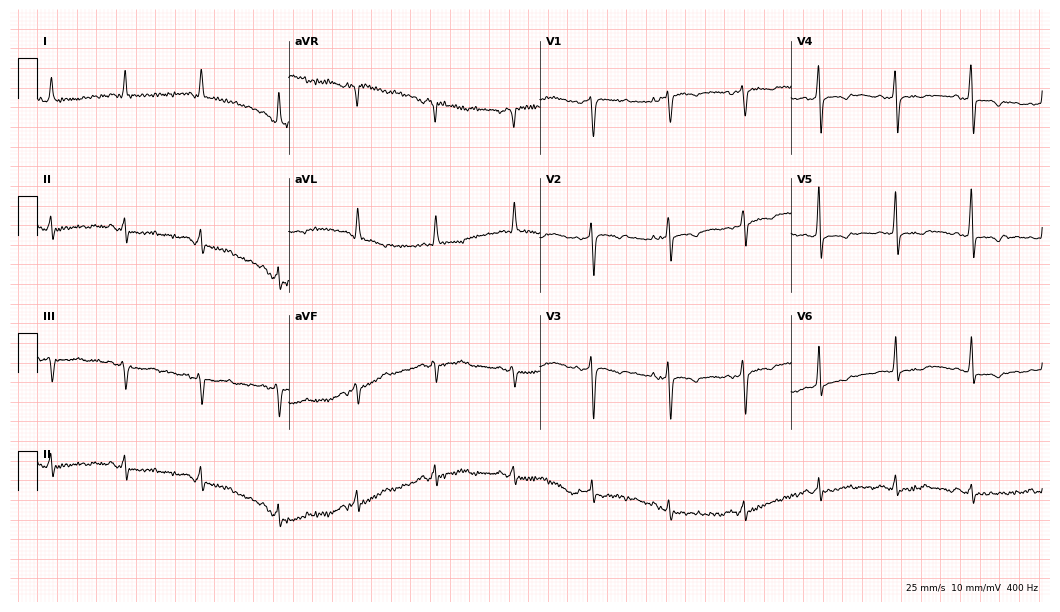
ECG — a woman, 62 years old. Screened for six findings — first-degree AV block, right bundle branch block, left bundle branch block, sinus bradycardia, atrial fibrillation, sinus tachycardia — none is recorded.